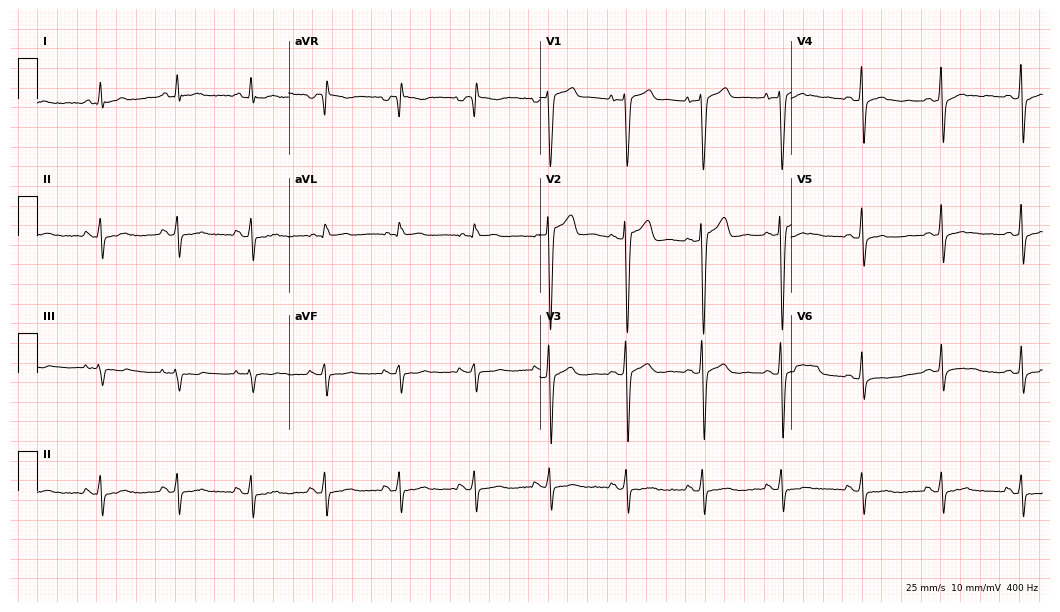
12-lead ECG from a man, 21 years old. No first-degree AV block, right bundle branch block (RBBB), left bundle branch block (LBBB), sinus bradycardia, atrial fibrillation (AF) or sinus tachycardia recorded for this tracing. Other findings, if any, are not listed.